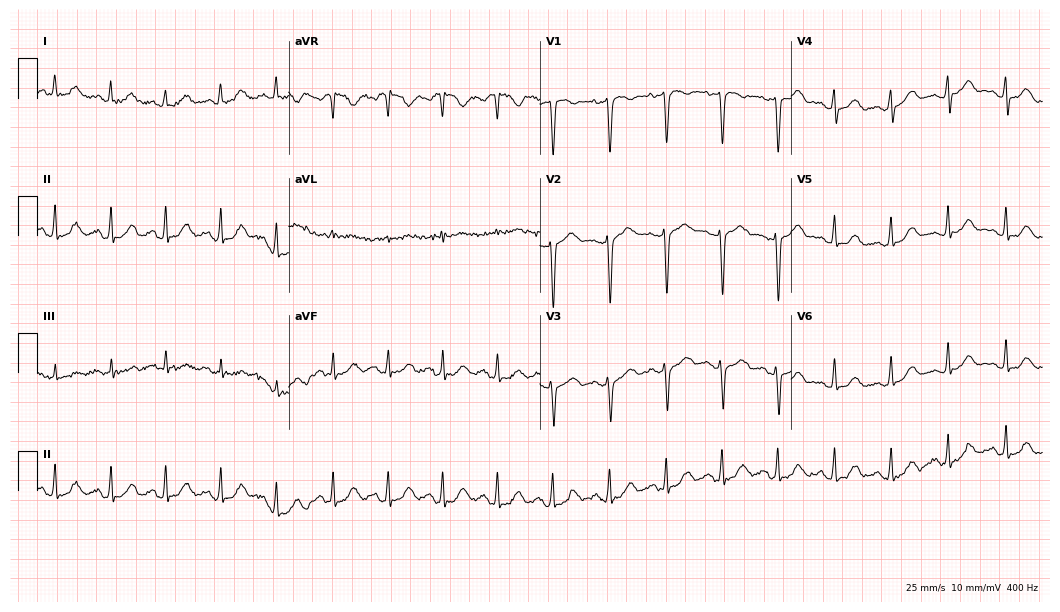
12-lead ECG (10.2-second recording at 400 Hz) from a 41-year-old female. Findings include sinus tachycardia (a sinus rate of 100 beats per minute or more).